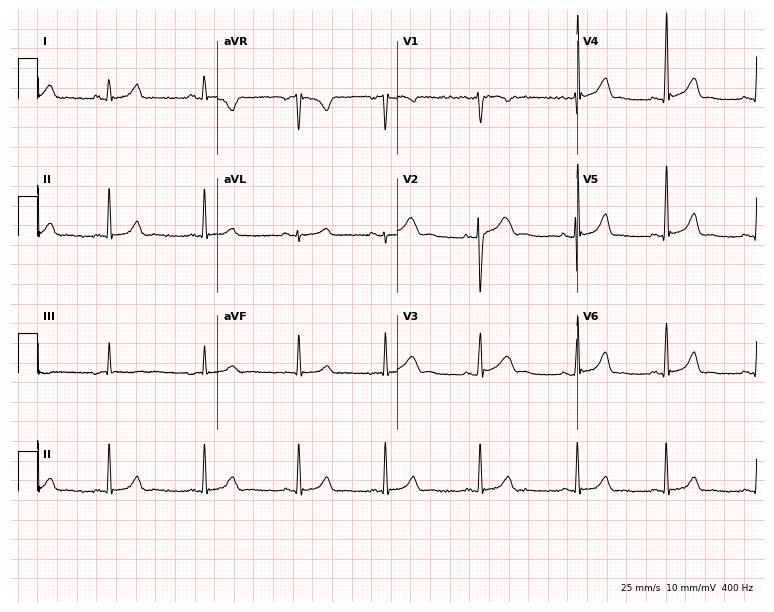
ECG (7.3-second recording at 400 Hz) — a female, 20 years old. Screened for six findings — first-degree AV block, right bundle branch block, left bundle branch block, sinus bradycardia, atrial fibrillation, sinus tachycardia — none is recorded. Other findings, if any, are not listed.